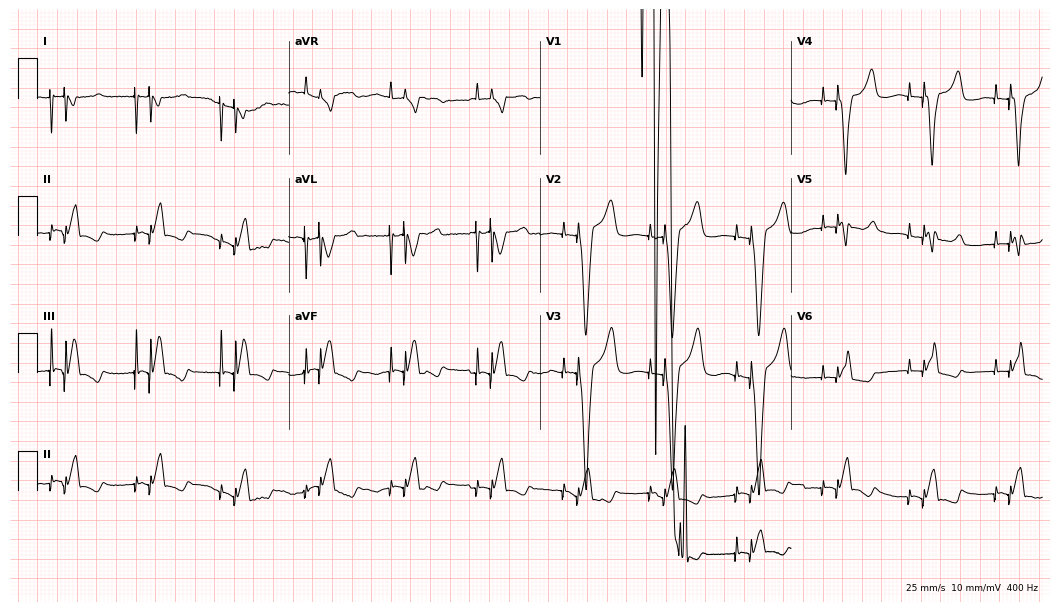
Resting 12-lead electrocardiogram (10.2-second recording at 400 Hz). Patient: a male, 79 years old. None of these six findings is recorded: first-degree AV block, right bundle branch block, left bundle branch block, sinus bradycardia, atrial fibrillation, sinus tachycardia.